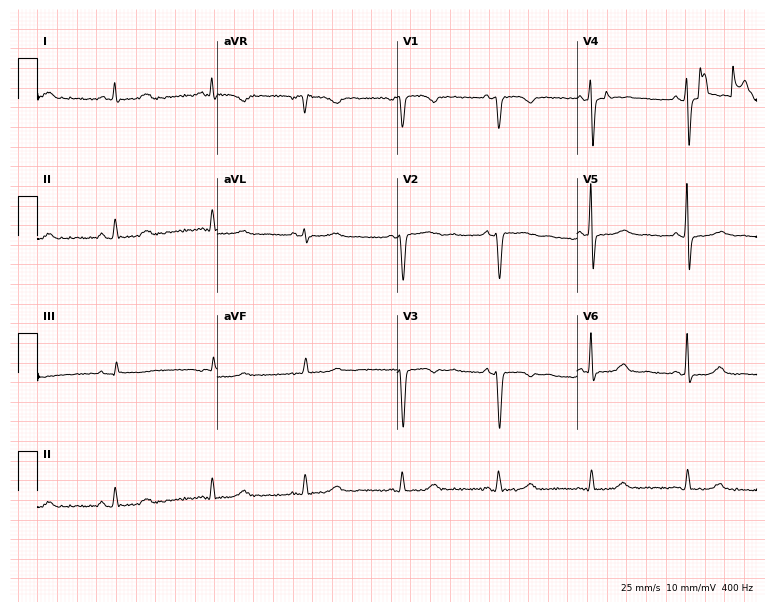
12-lead ECG from a female, 51 years old. No first-degree AV block, right bundle branch block, left bundle branch block, sinus bradycardia, atrial fibrillation or sinus tachycardia recorded for this tracing.